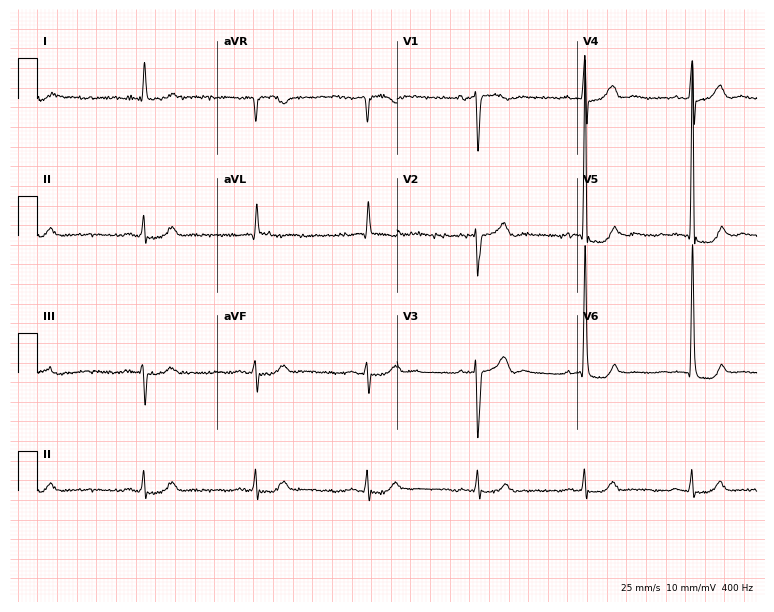
Electrocardiogram (7.3-second recording at 400 Hz), an 85-year-old male patient. Overall reading on record: normal ECG.